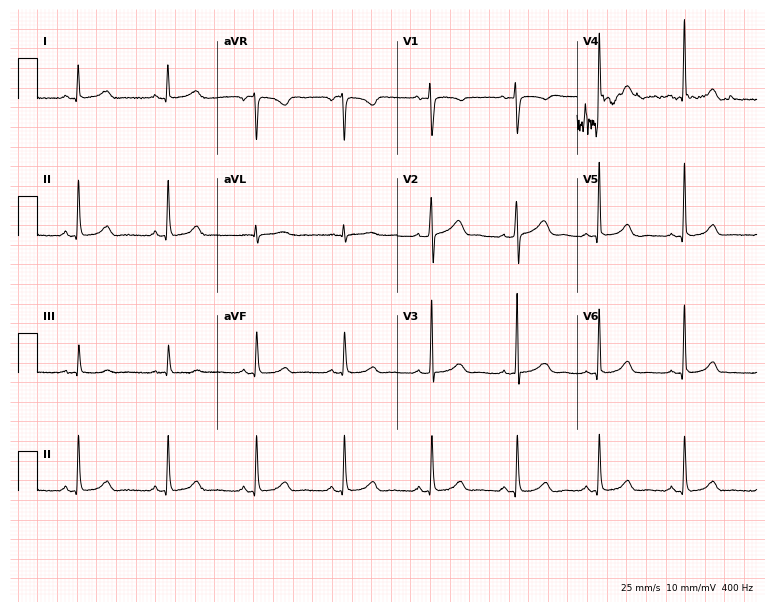
Standard 12-lead ECG recorded from a 31-year-old woman. None of these six findings is recorded: first-degree AV block, right bundle branch block (RBBB), left bundle branch block (LBBB), sinus bradycardia, atrial fibrillation (AF), sinus tachycardia.